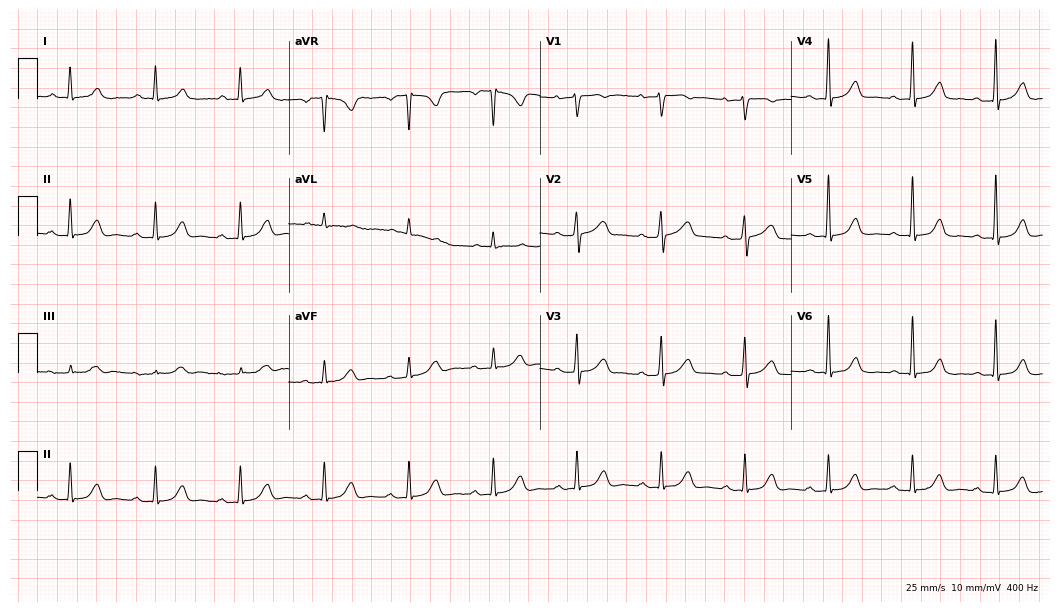
ECG — a female, 64 years old. Labelled as a normal ECG.